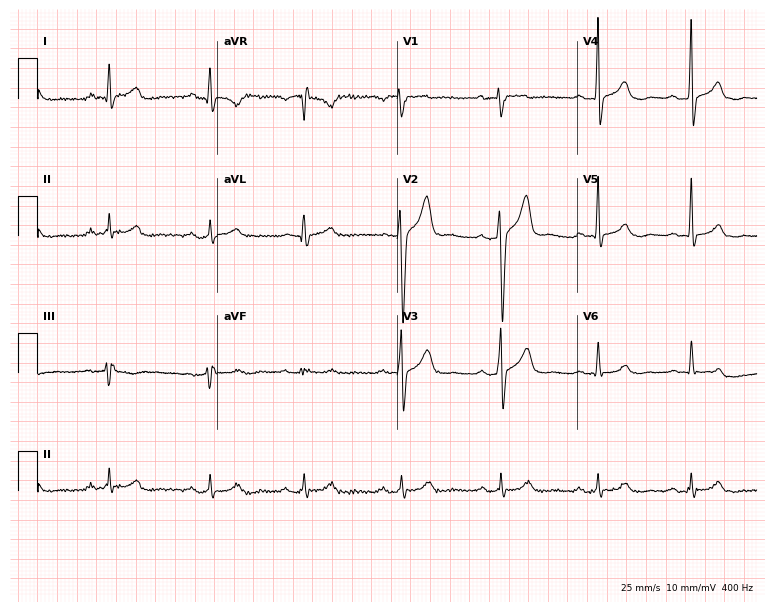
ECG — a 42-year-old male patient. Labelled as a normal ECG.